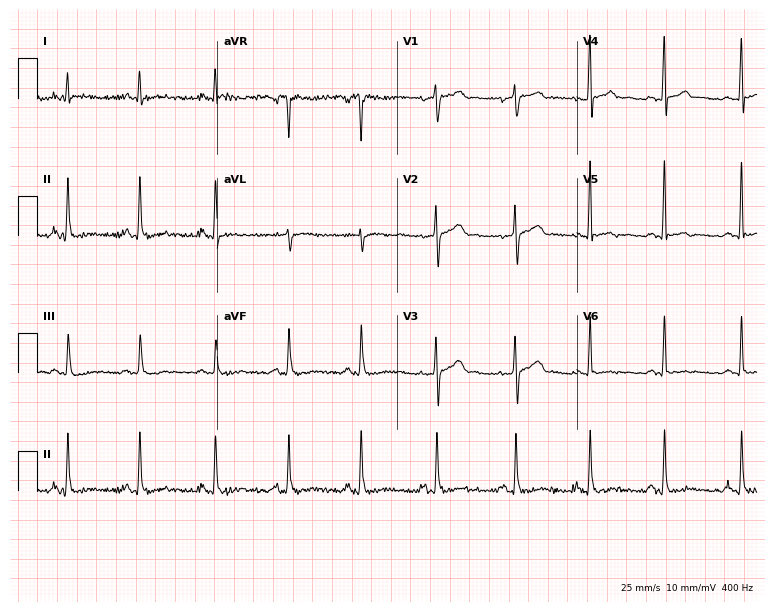
12-lead ECG (7.3-second recording at 400 Hz) from a female, 51 years old. Screened for six findings — first-degree AV block, right bundle branch block (RBBB), left bundle branch block (LBBB), sinus bradycardia, atrial fibrillation (AF), sinus tachycardia — none is recorded. Other findings, if any, are not listed.